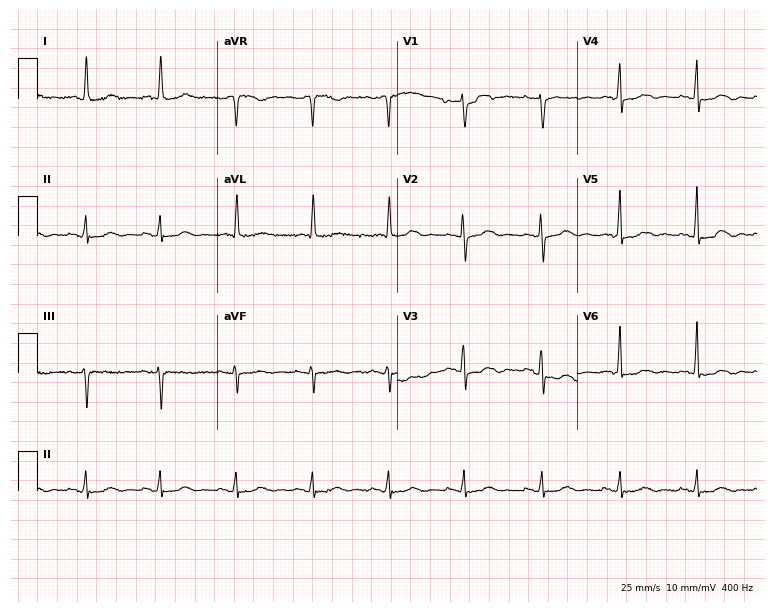
Resting 12-lead electrocardiogram (7.3-second recording at 400 Hz). Patient: an 80-year-old female. Read as a normal ECG.